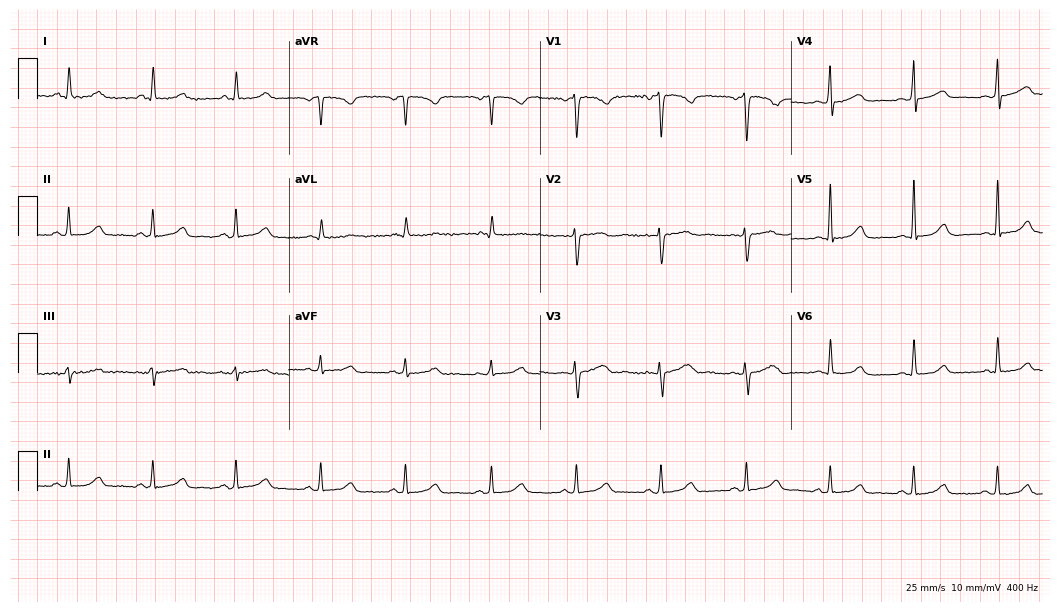
Electrocardiogram (10.2-second recording at 400 Hz), a female patient, 63 years old. Of the six screened findings (first-degree AV block, right bundle branch block (RBBB), left bundle branch block (LBBB), sinus bradycardia, atrial fibrillation (AF), sinus tachycardia), none is recorded. Only these six findings were labelled.